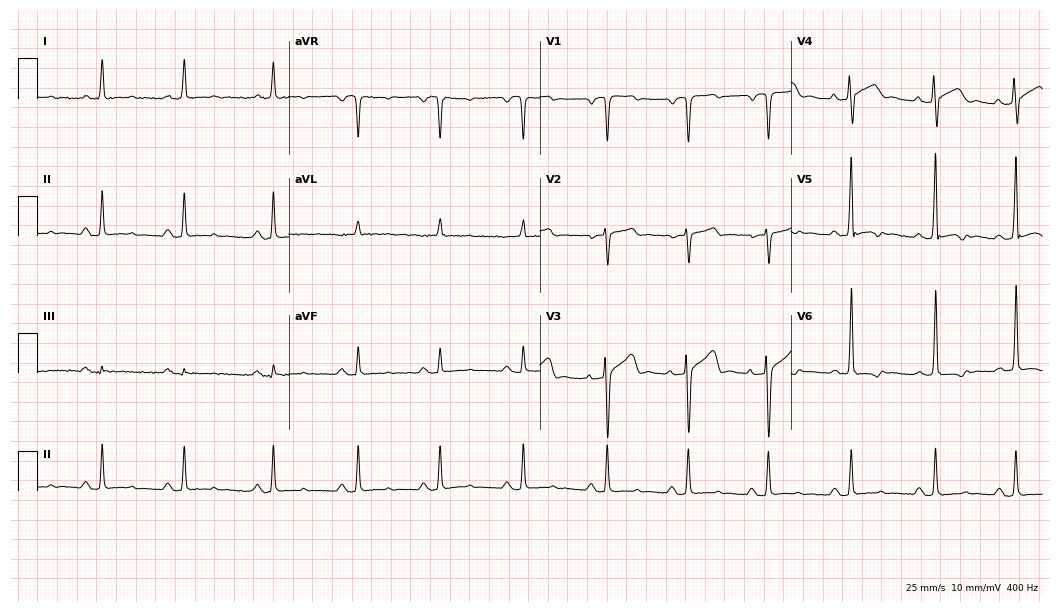
12-lead ECG from a 69-year-old man. Screened for six findings — first-degree AV block, right bundle branch block (RBBB), left bundle branch block (LBBB), sinus bradycardia, atrial fibrillation (AF), sinus tachycardia — none is recorded. Other findings, if any, are not listed.